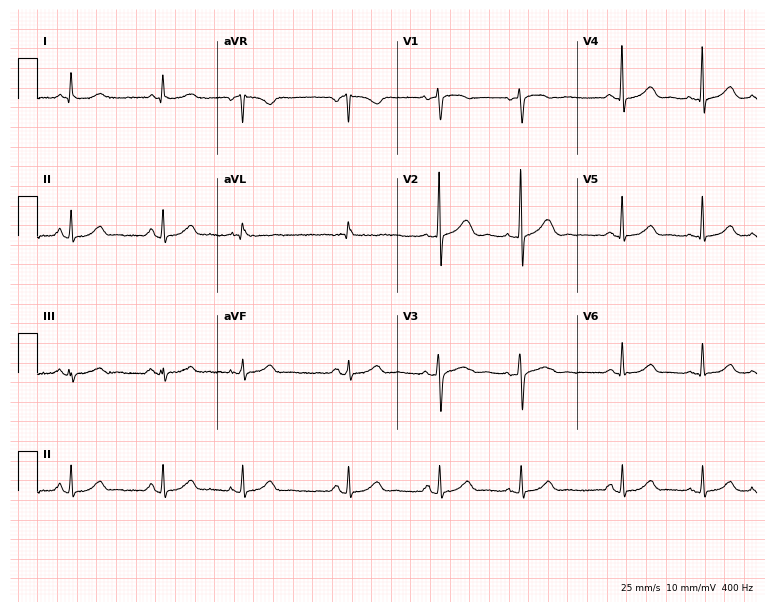
12-lead ECG from a woman, 65 years old. Recorded interpretation: within normal limits.